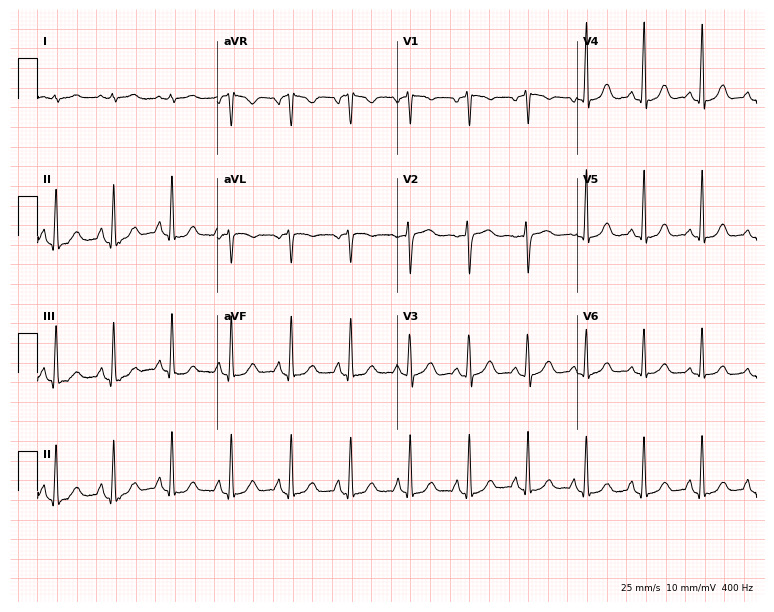
Standard 12-lead ECG recorded from a woman, 48 years old (7.3-second recording at 400 Hz). Read as a normal ECG.